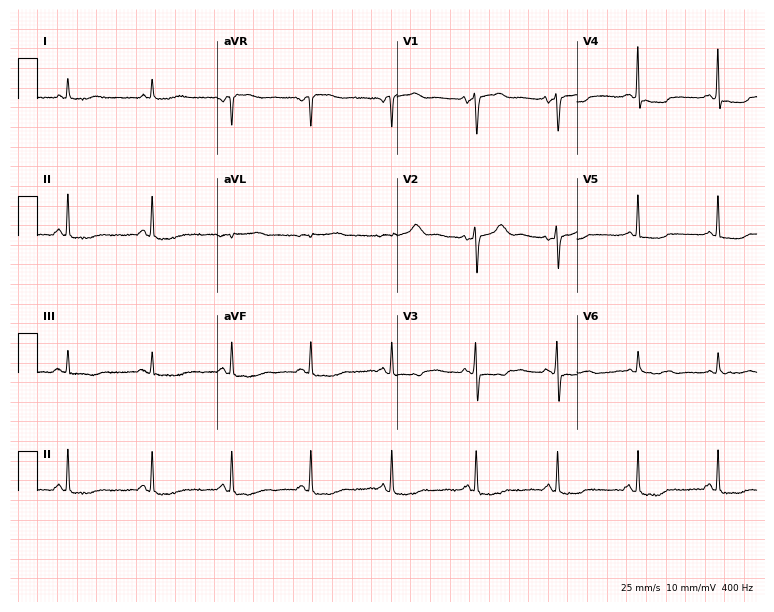
Electrocardiogram, a female, 85 years old. Of the six screened findings (first-degree AV block, right bundle branch block, left bundle branch block, sinus bradycardia, atrial fibrillation, sinus tachycardia), none is recorded.